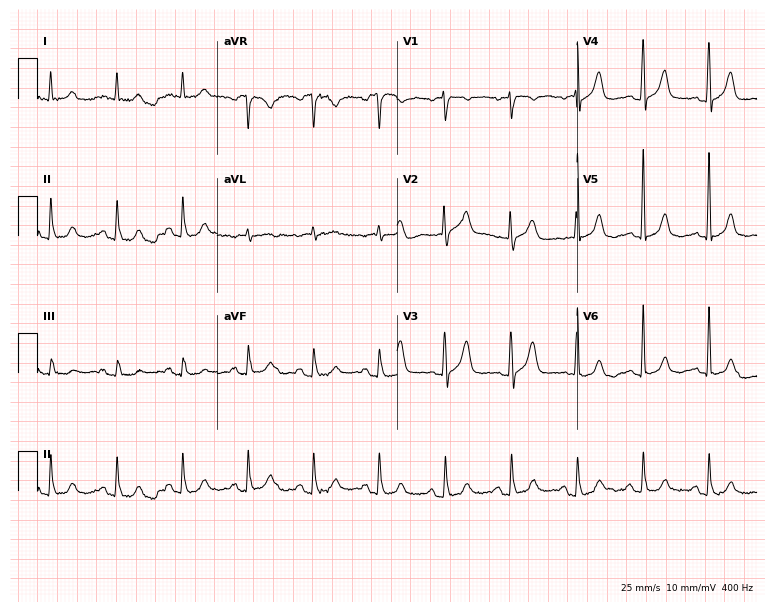
Electrocardiogram, a woman, 72 years old. Of the six screened findings (first-degree AV block, right bundle branch block (RBBB), left bundle branch block (LBBB), sinus bradycardia, atrial fibrillation (AF), sinus tachycardia), none is recorded. Only these six findings were labelled.